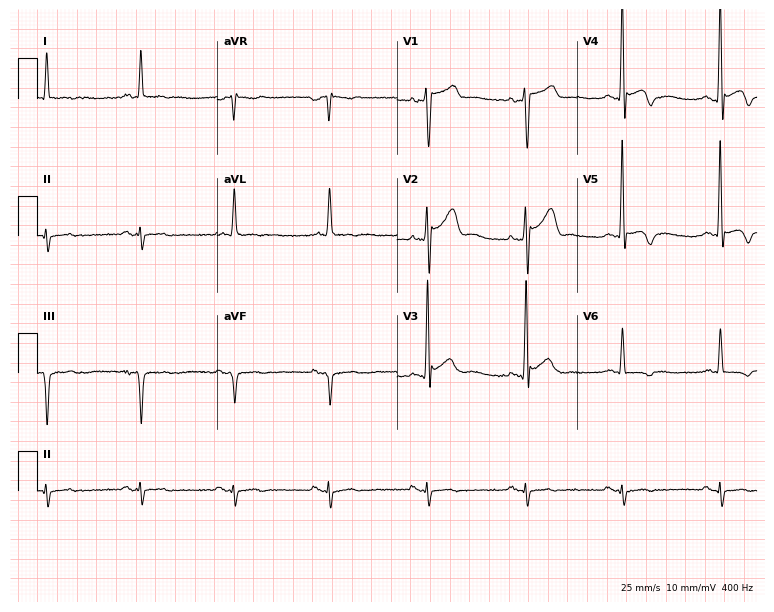
12-lead ECG from a man, 64 years old. No first-degree AV block, right bundle branch block, left bundle branch block, sinus bradycardia, atrial fibrillation or sinus tachycardia recorded for this tracing. Findings outside these six are not listed.